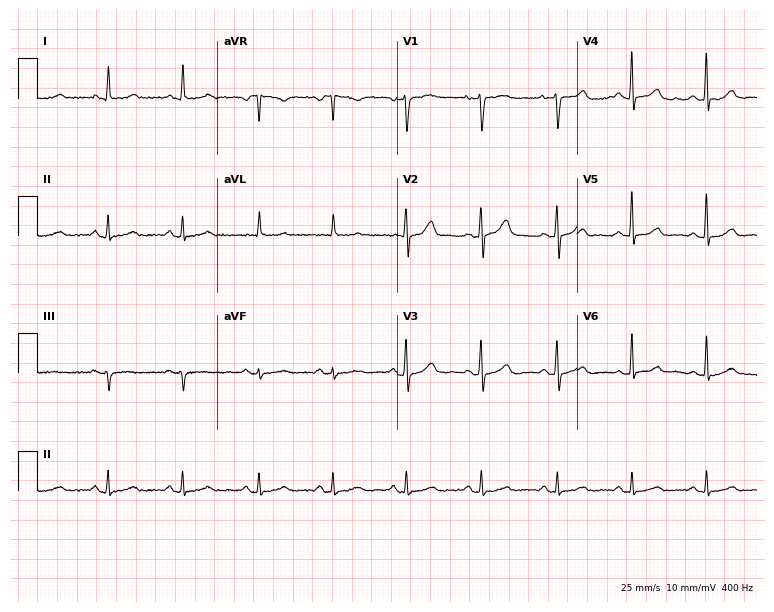
Electrocardiogram (7.3-second recording at 400 Hz), a woman, 38 years old. Overall reading on record: normal ECG.